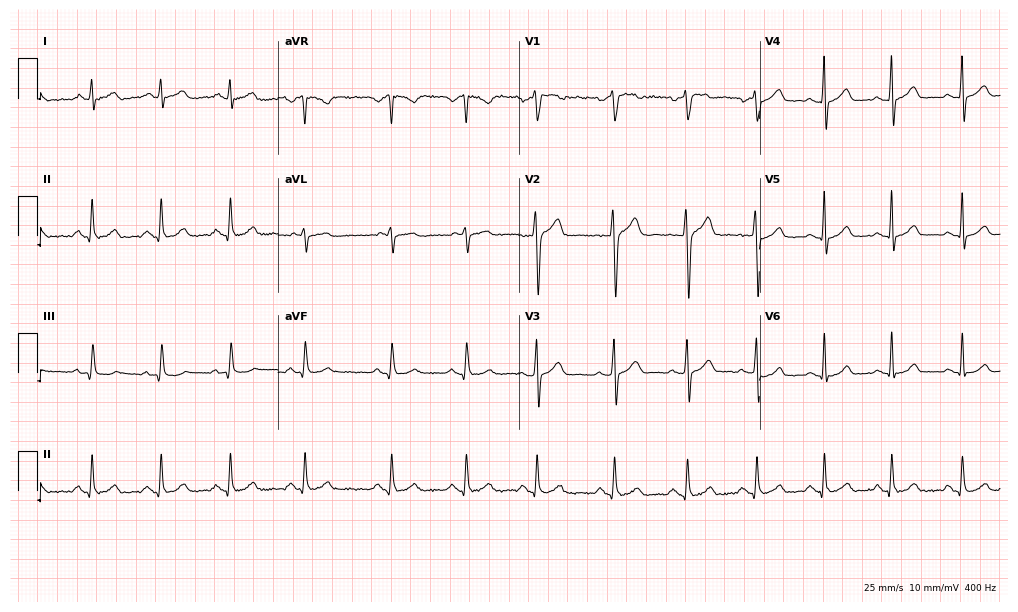
Standard 12-lead ECG recorded from a 38-year-old male patient (9.8-second recording at 400 Hz). None of these six findings is recorded: first-degree AV block, right bundle branch block (RBBB), left bundle branch block (LBBB), sinus bradycardia, atrial fibrillation (AF), sinus tachycardia. Findings outside these six are not listed.